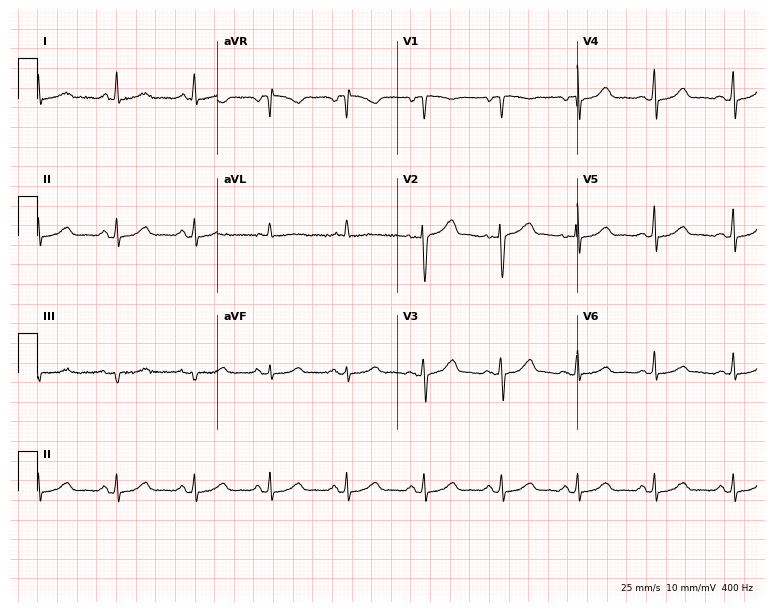
Resting 12-lead electrocardiogram. Patient: a 49-year-old female. Read as a normal ECG.